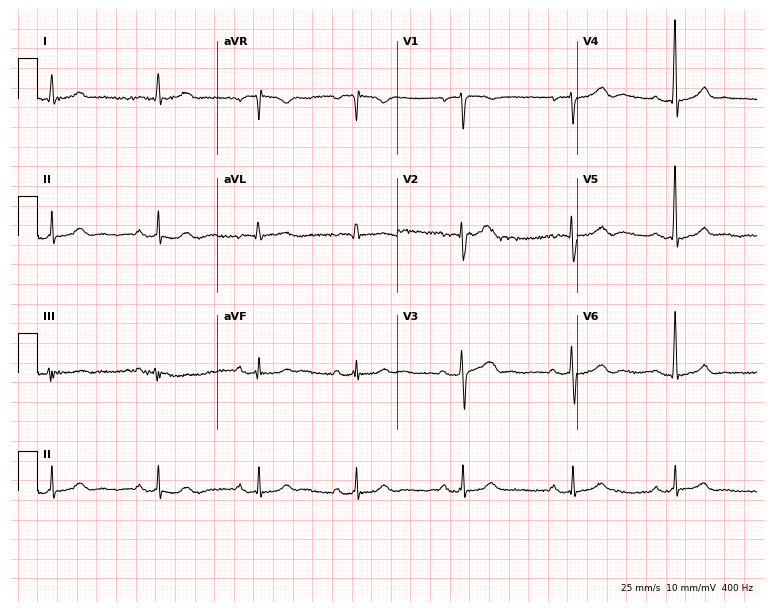
12-lead ECG from a male, 34 years old. Labelled as a normal ECG.